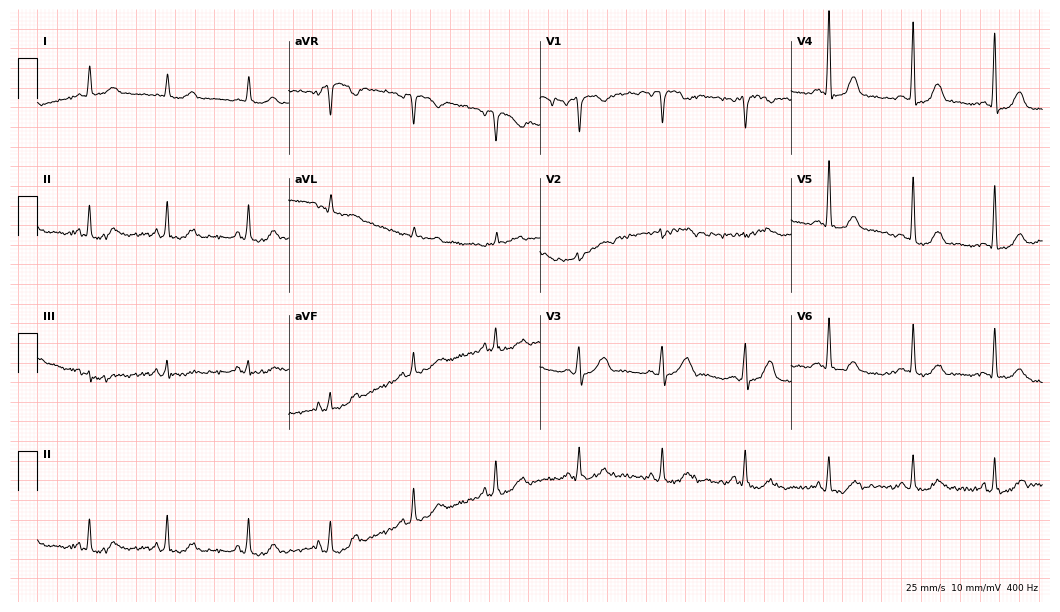
Electrocardiogram, a 62-year-old female. Overall reading on record: normal ECG.